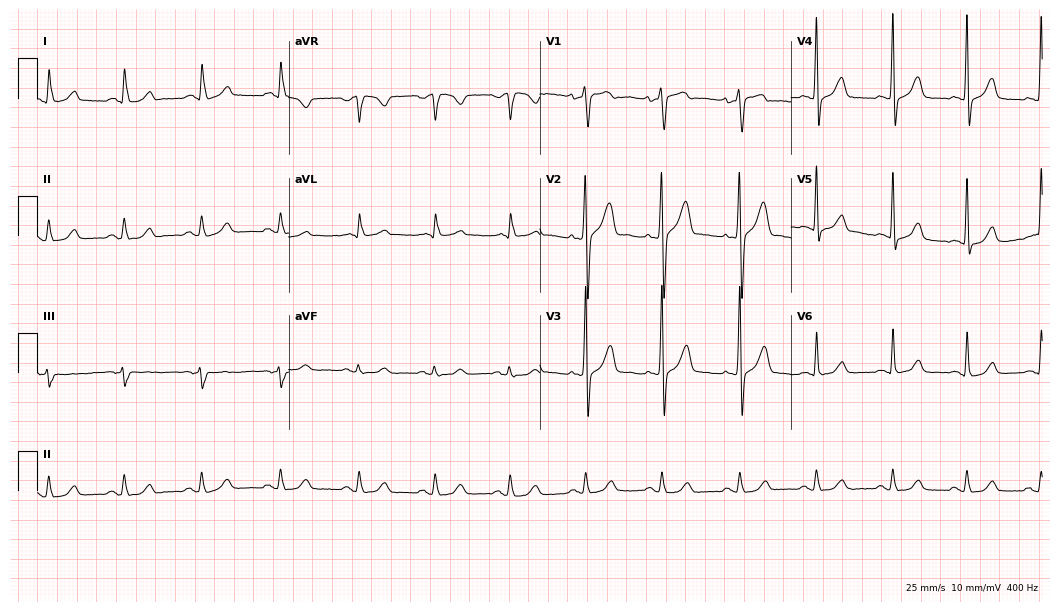
12-lead ECG from a 53-year-old male patient. Screened for six findings — first-degree AV block, right bundle branch block, left bundle branch block, sinus bradycardia, atrial fibrillation, sinus tachycardia — none is recorded. Findings outside these six are not listed.